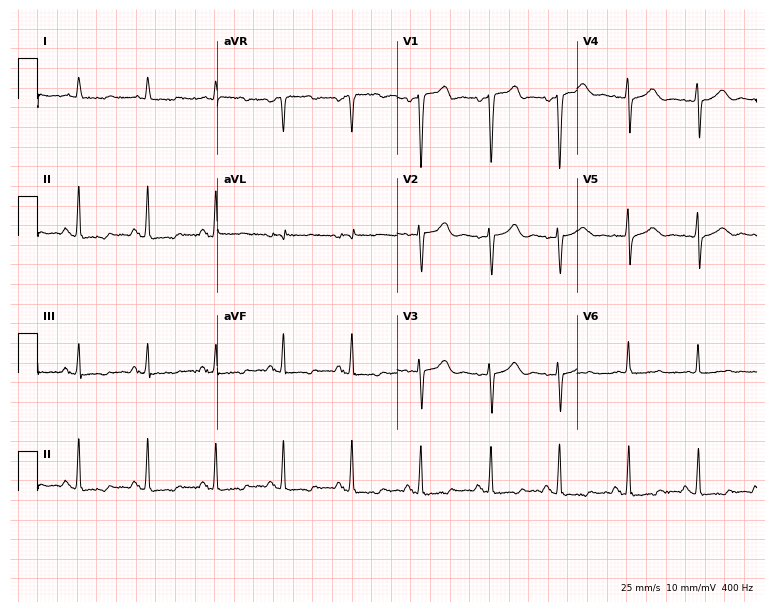
12-lead ECG (7.3-second recording at 400 Hz) from a 74-year-old male. Screened for six findings — first-degree AV block, right bundle branch block, left bundle branch block, sinus bradycardia, atrial fibrillation, sinus tachycardia — none is recorded. Other findings, if any, are not listed.